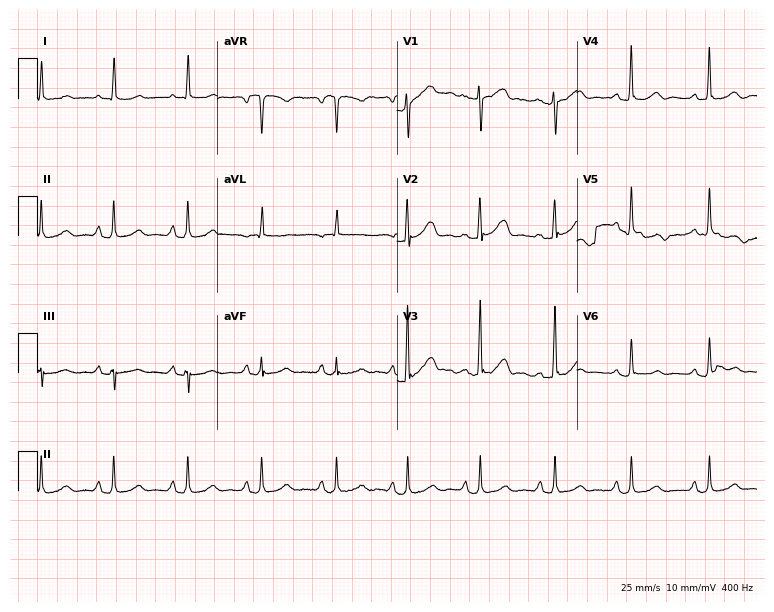
Electrocardiogram, a woman, 81 years old. Overall reading on record: normal ECG.